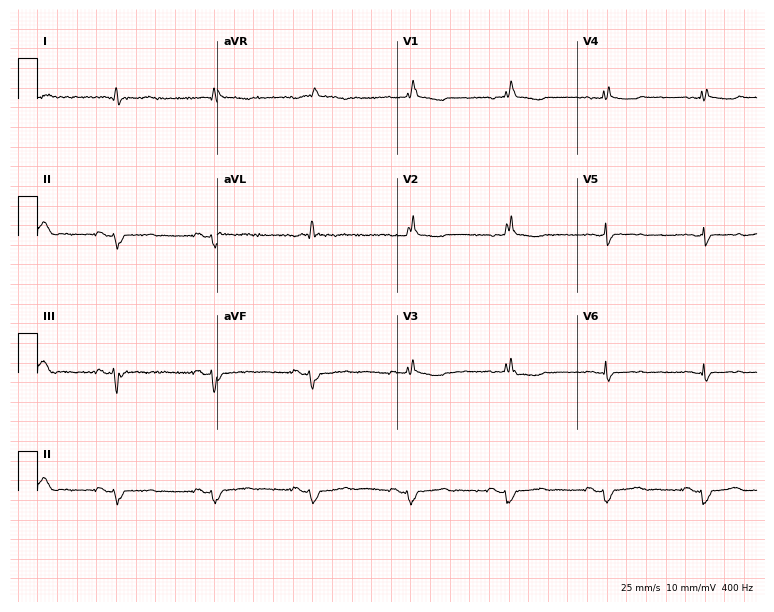
Resting 12-lead electrocardiogram. Patient: a 61-year-old woman. None of these six findings is recorded: first-degree AV block, right bundle branch block (RBBB), left bundle branch block (LBBB), sinus bradycardia, atrial fibrillation (AF), sinus tachycardia. Findings outside these six are not listed.